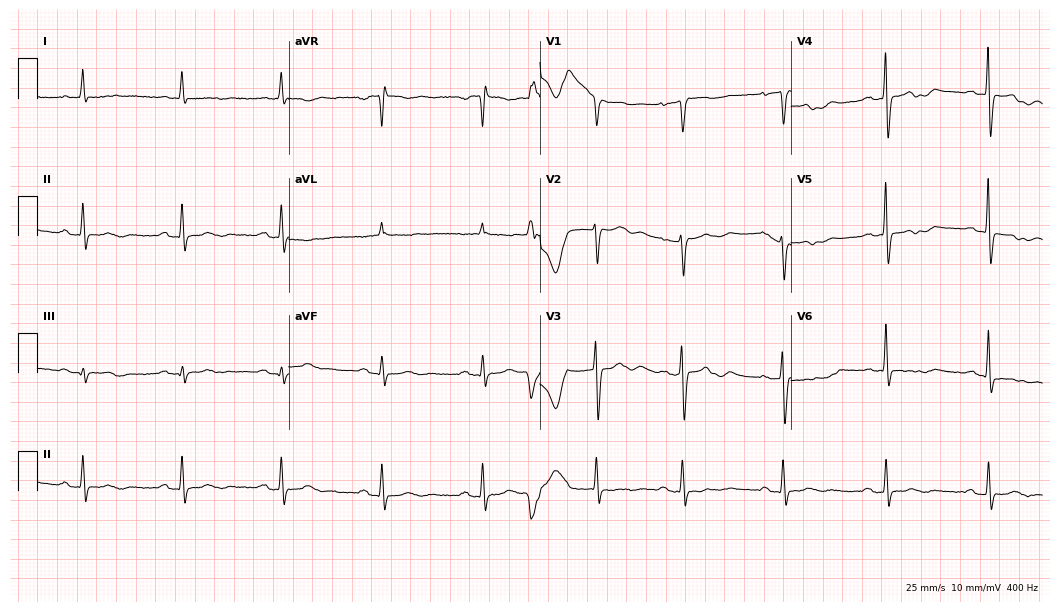
ECG — an 85-year-old female. Findings include first-degree AV block.